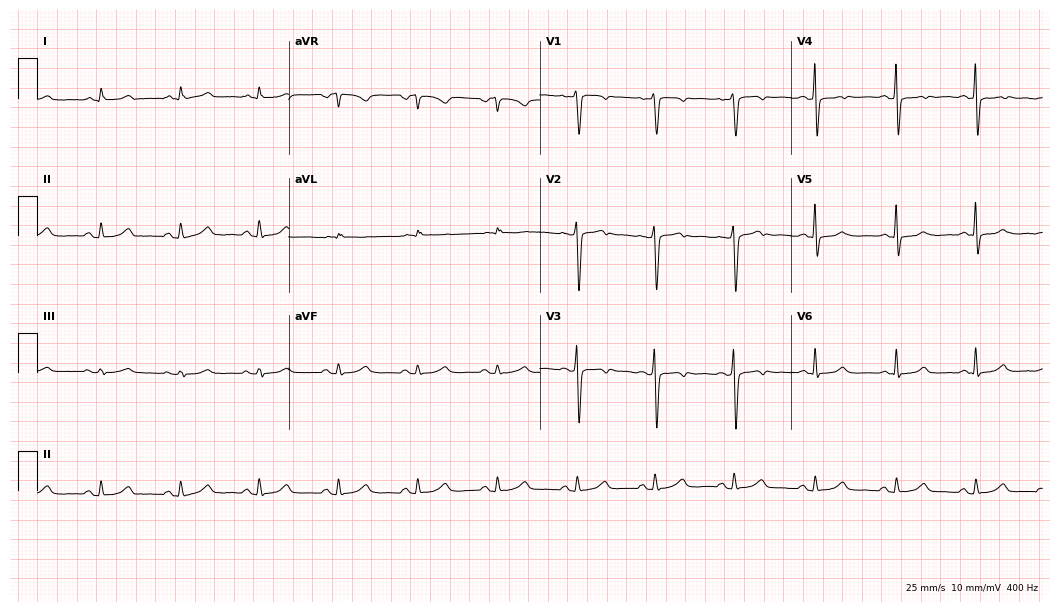
ECG (10.2-second recording at 400 Hz) — a female patient, 40 years old. Labelled as a normal ECG.